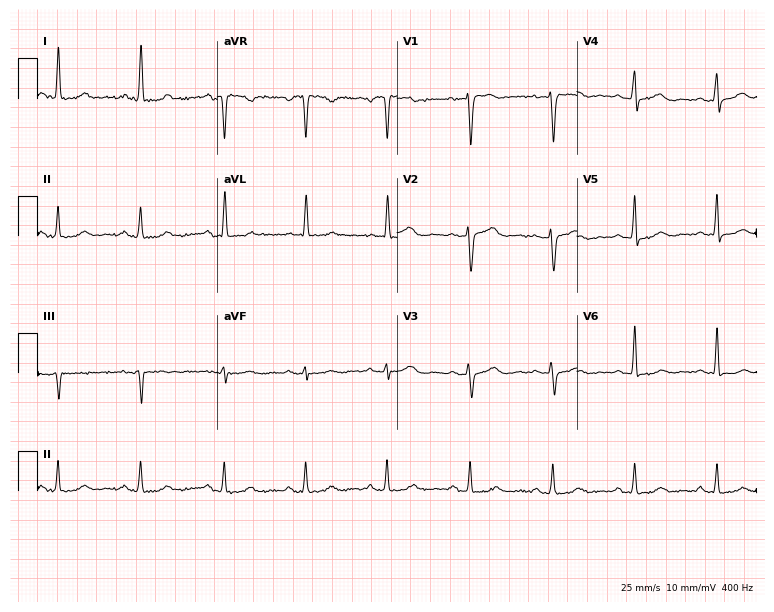
Standard 12-lead ECG recorded from a woman, 51 years old. None of these six findings is recorded: first-degree AV block, right bundle branch block, left bundle branch block, sinus bradycardia, atrial fibrillation, sinus tachycardia.